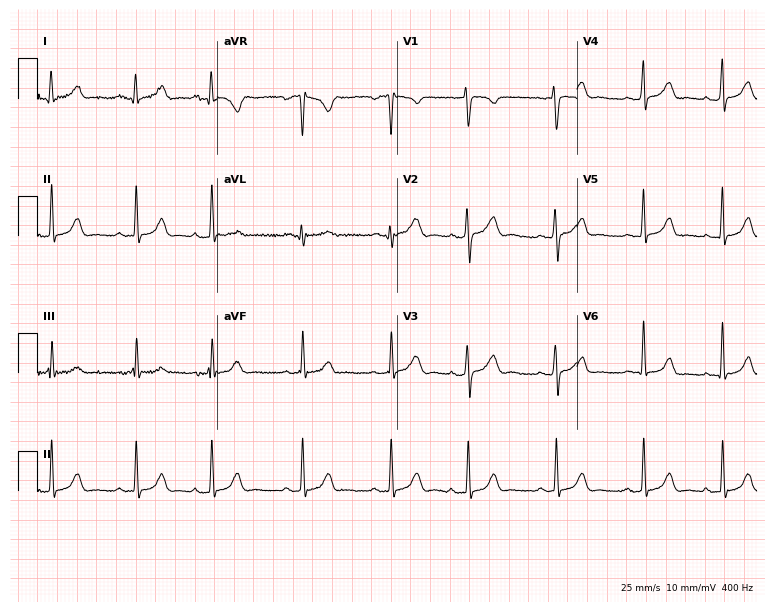
12-lead ECG from a woman, 17 years old (7.3-second recording at 400 Hz). No first-degree AV block, right bundle branch block, left bundle branch block, sinus bradycardia, atrial fibrillation or sinus tachycardia recorded for this tracing. Only these six findings were labelled.